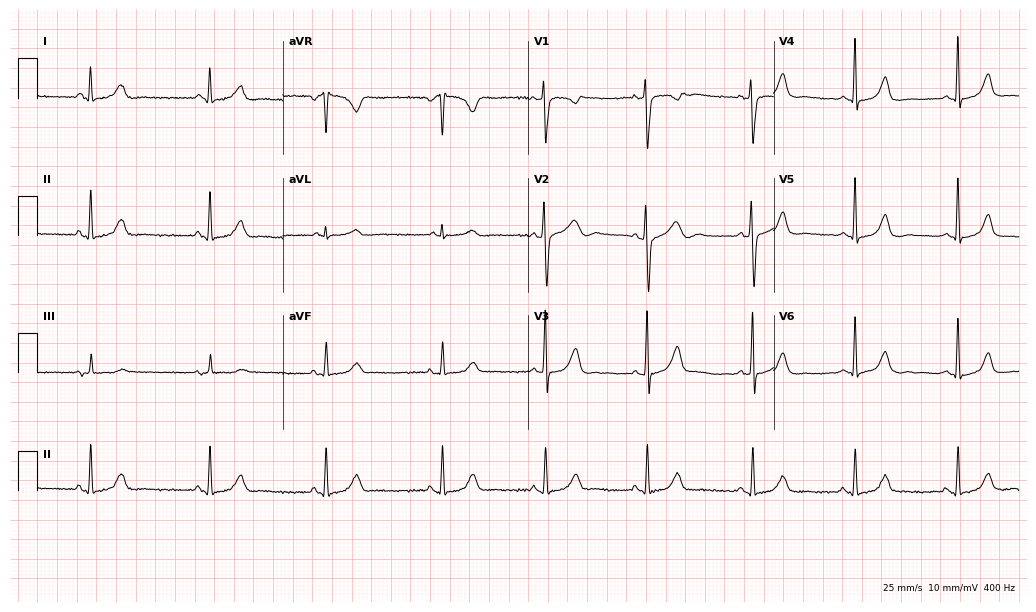
12-lead ECG from a 33-year-old woman. Screened for six findings — first-degree AV block, right bundle branch block, left bundle branch block, sinus bradycardia, atrial fibrillation, sinus tachycardia — none is recorded.